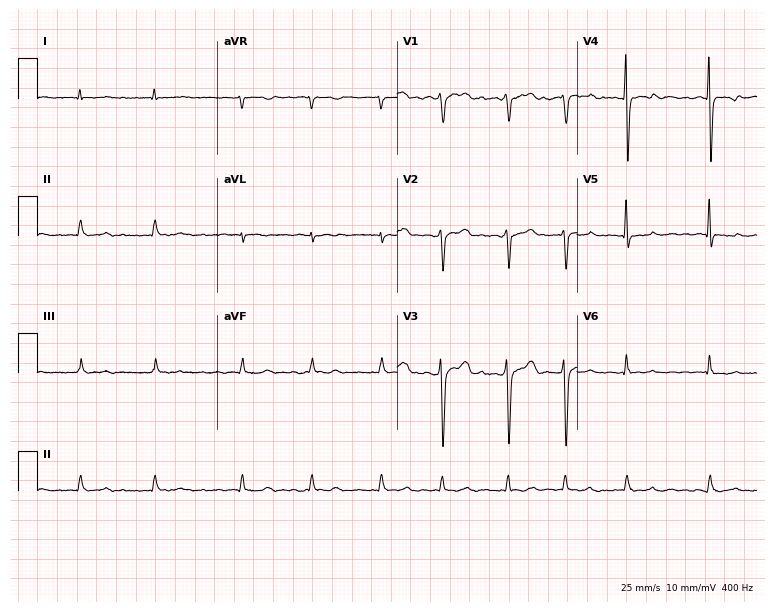
12-lead ECG from a 68-year-old male. Shows atrial fibrillation (AF).